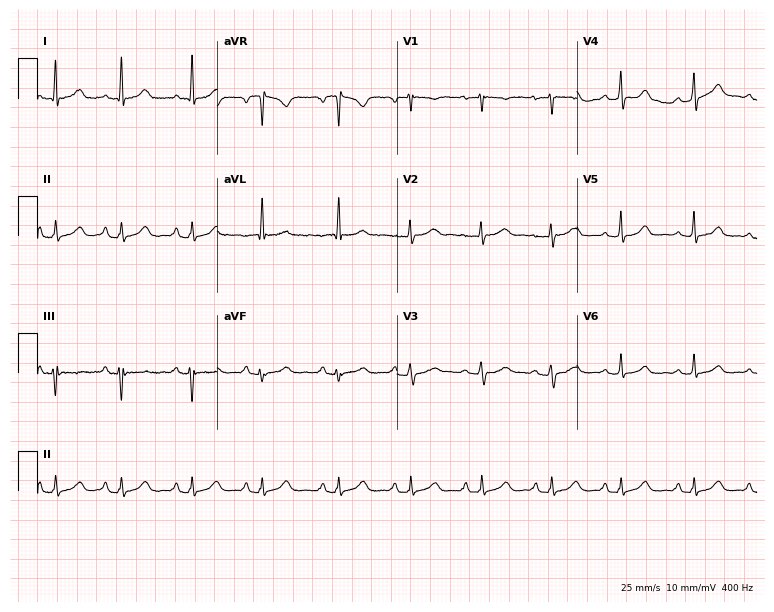
Standard 12-lead ECG recorded from a 66-year-old female patient. Read as a normal ECG.